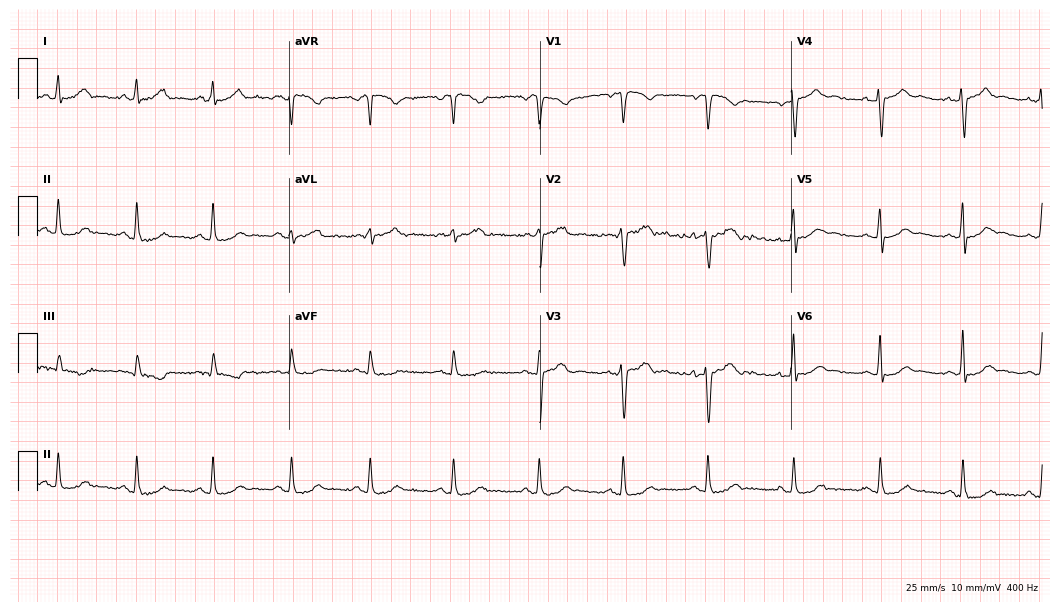
ECG (10.2-second recording at 400 Hz) — a female, 39 years old. Labelled as a normal ECG.